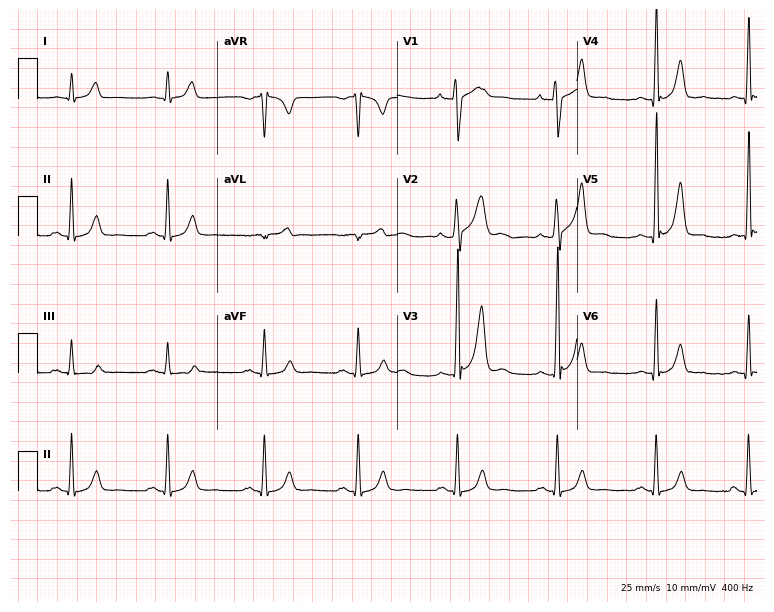
12-lead ECG from a male patient, 34 years old. Recorded interpretation: within normal limits.